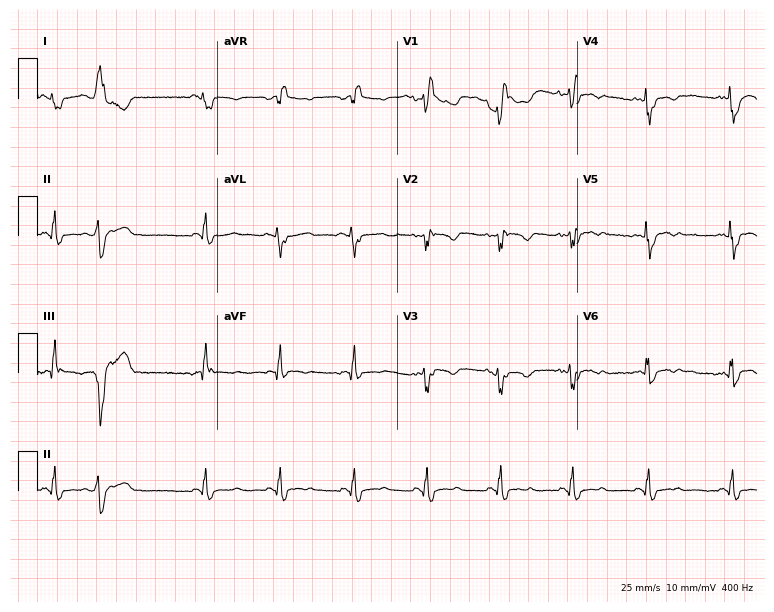
ECG — a man, 62 years old. Findings include right bundle branch block.